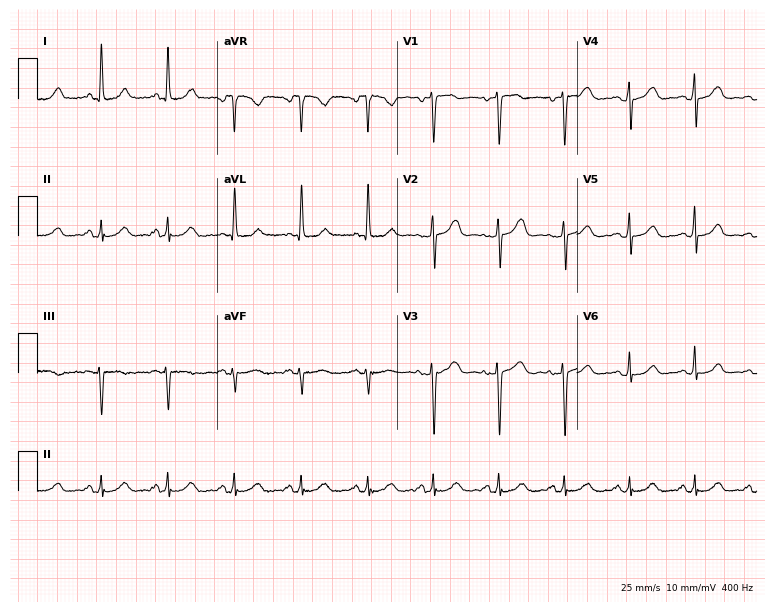
12-lead ECG (7.3-second recording at 400 Hz) from a female patient, 51 years old. Labelled as a normal ECG.